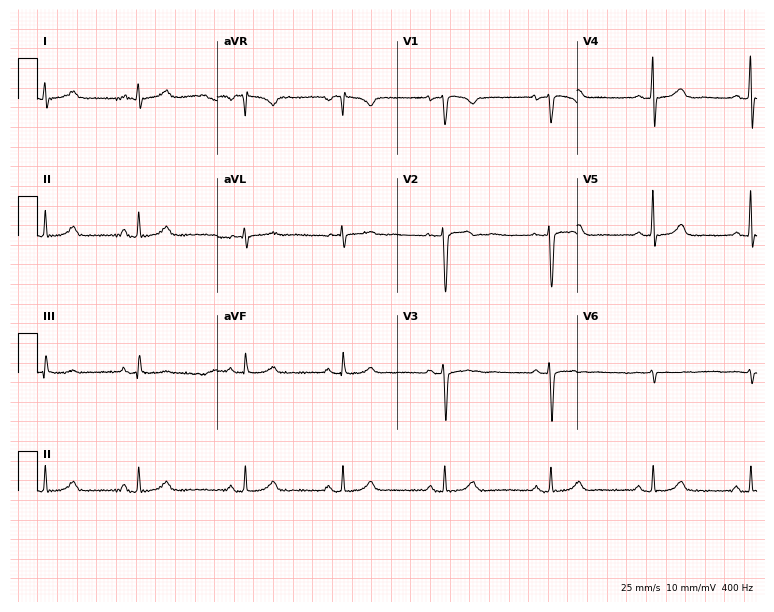
12-lead ECG (7.3-second recording at 400 Hz) from a female, 30 years old. Screened for six findings — first-degree AV block, right bundle branch block (RBBB), left bundle branch block (LBBB), sinus bradycardia, atrial fibrillation (AF), sinus tachycardia — none is recorded.